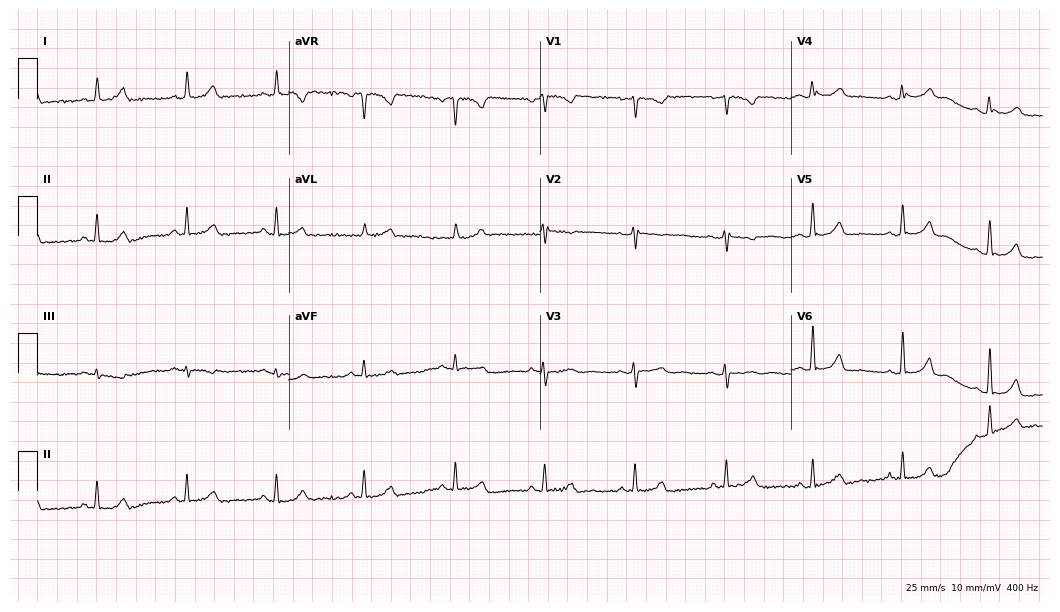
12-lead ECG (10.2-second recording at 400 Hz) from a 51-year-old female. Labelled as a normal ECG.